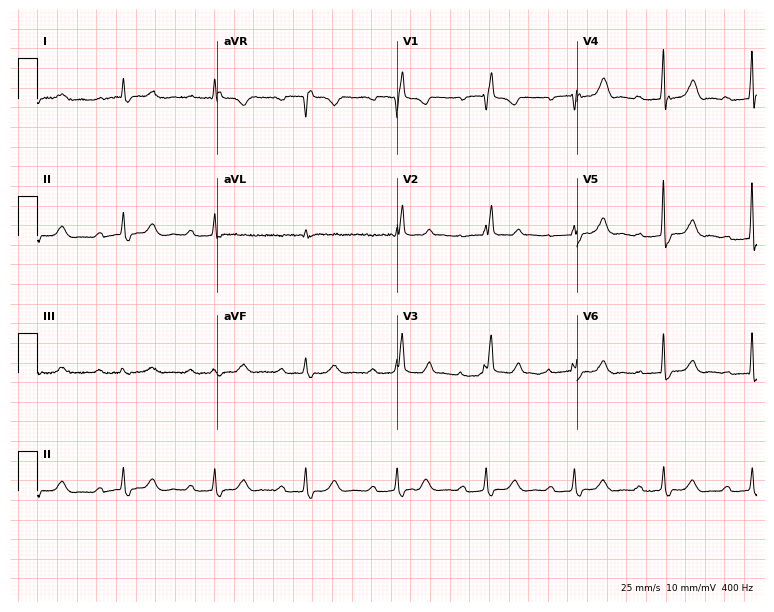
12-lead ECG from an 80-year-old female (7.3-second recording at 400 Hz). Shows right bundle branch block.